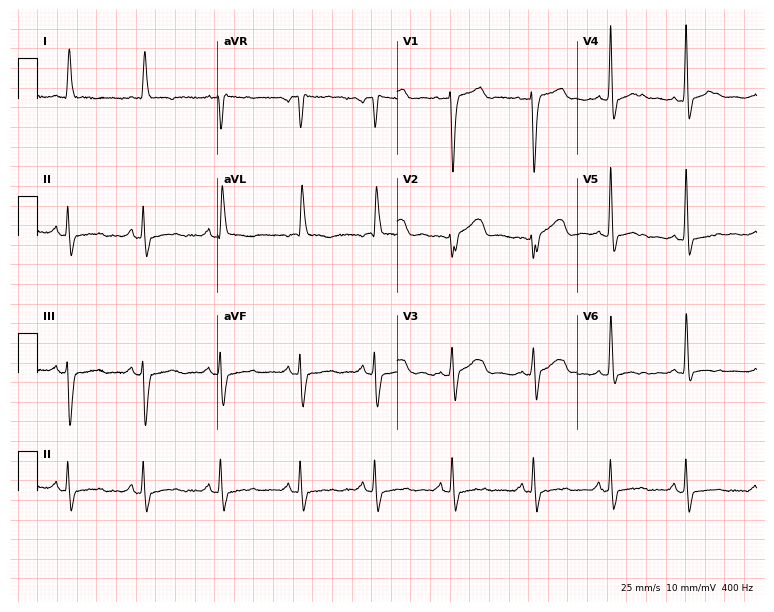
ECG (7.3-second recording at 400 Hz) — a 74-year-old female patient. Screened for six findings — first-degree AV block, right bundle branch block (RBBB), left bundle branch block (LBBB), sinus bradycardia, atrial fibrillation (AF), sinus tachycardia — none is recorded. Findings outside these six are not listed.